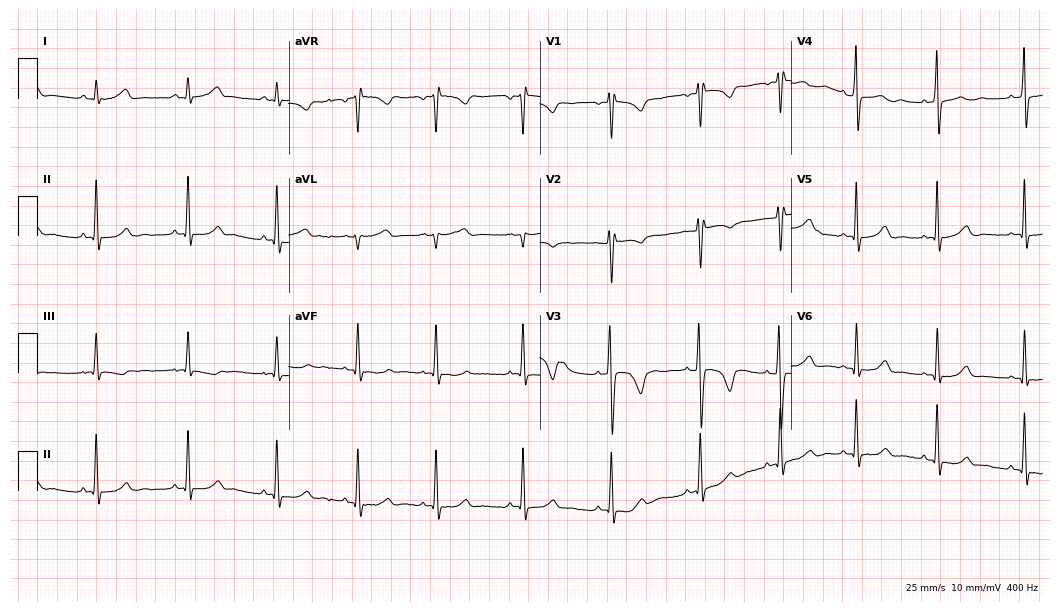
Standard 12-lead ECG recorded from a female patient, 23 years old (10.2-second recording at 400 Hz). None of these six findings is recorded: first-degree AV block, right bundle branch block, left bundle branch block, sinus bradycardia, atrial fibrillation, sinus tachycardia.